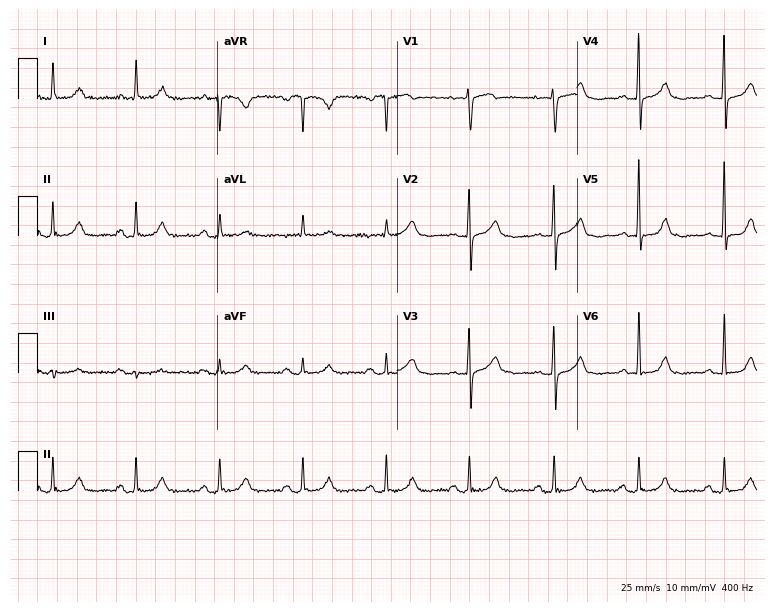
12-lead ECG from a 67-year-old female (7.3-second recording at 400 Hz). Recorded interpretation: within normal limits.